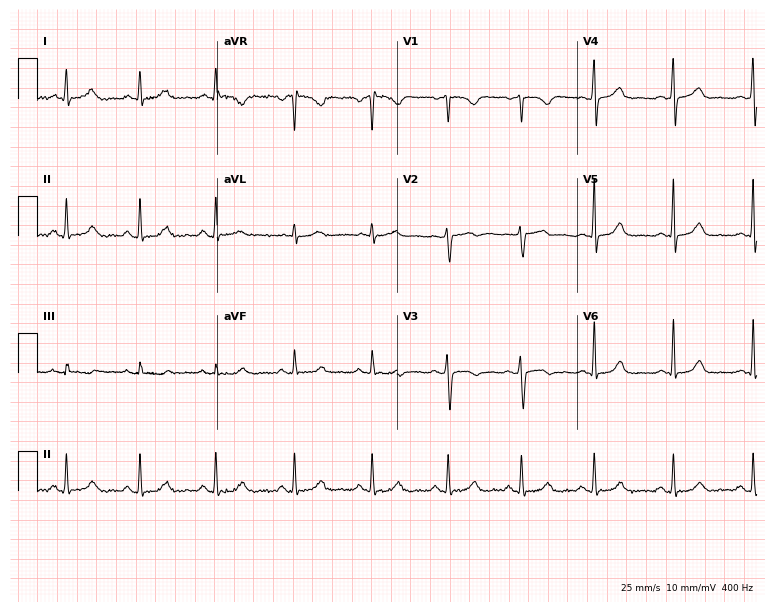
12-lead ECG from a 32-year-old woman. Labelled as a normal ECG.